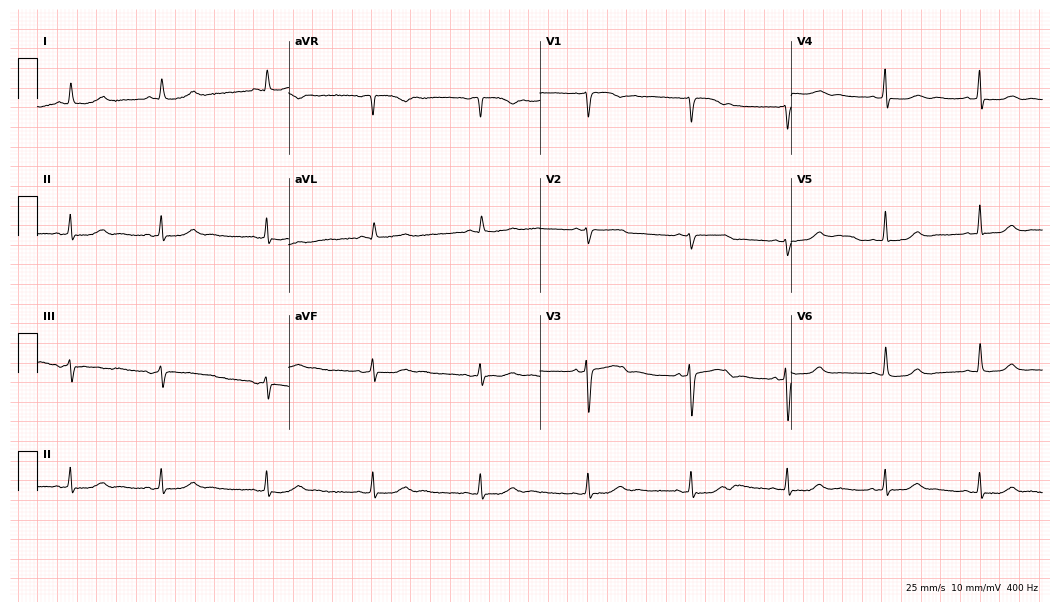
ECG (10.2-second recording at 400 Hz) — a woman, 64 years old. Labelled as a normal ECG.